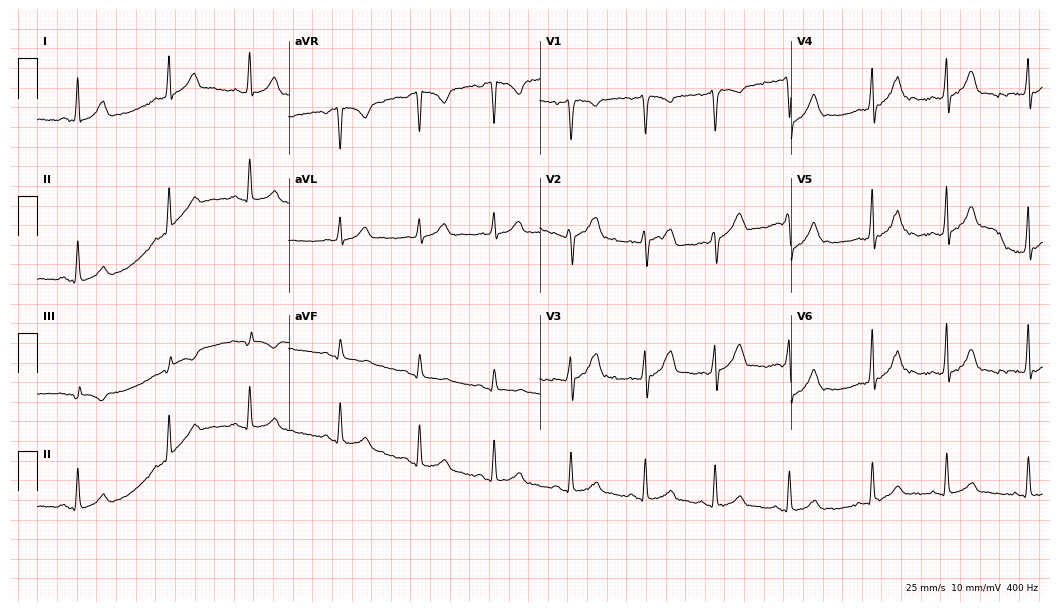
12-lead ECG (10.2-second recording at 400 Hz) from a female patient, 20 years old. Labelled as a normal ECG.